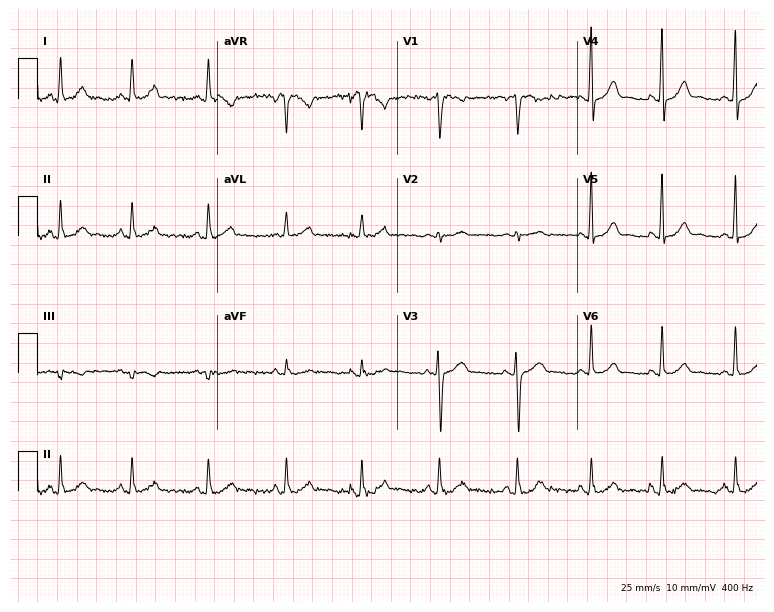
ECG — a 40-year-old female patient. Labelled as a normal ECG.